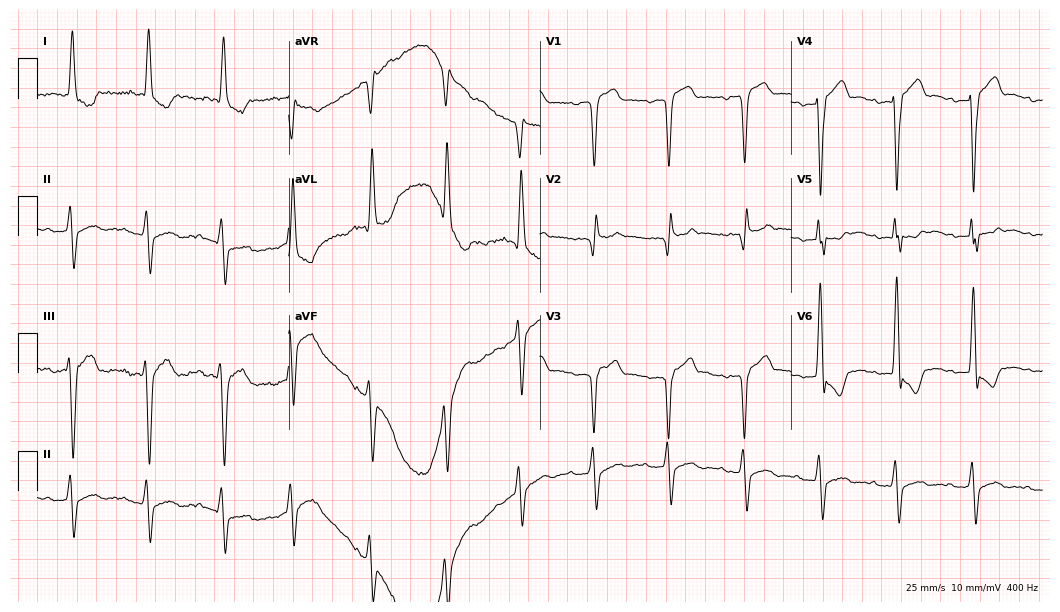
Standard 12-lead ECG recorded from a 78-year-old male. None of these six findings is recorded: first-degree AV block, right bundle branch block, left bundle branch block, sinus bradycardia, atrial fibrillation, sinus tachycardia. Other findings, if any, are not listed.